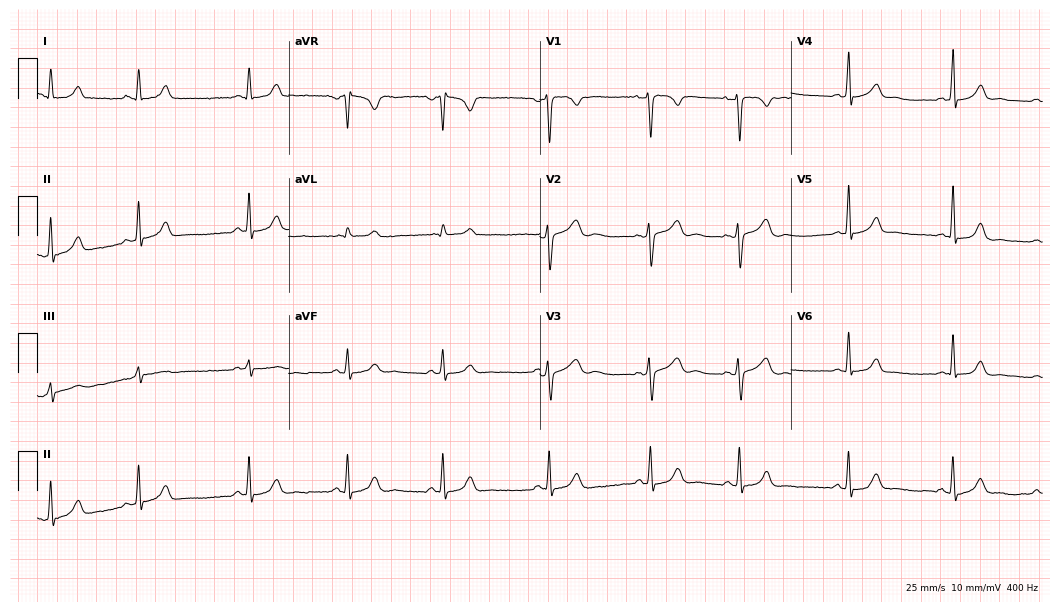
Resting 12-lead electrocardiogram (10.2-second recording at 400 Hz). Patient: a 26-year-old female. Read as a normal ECG.